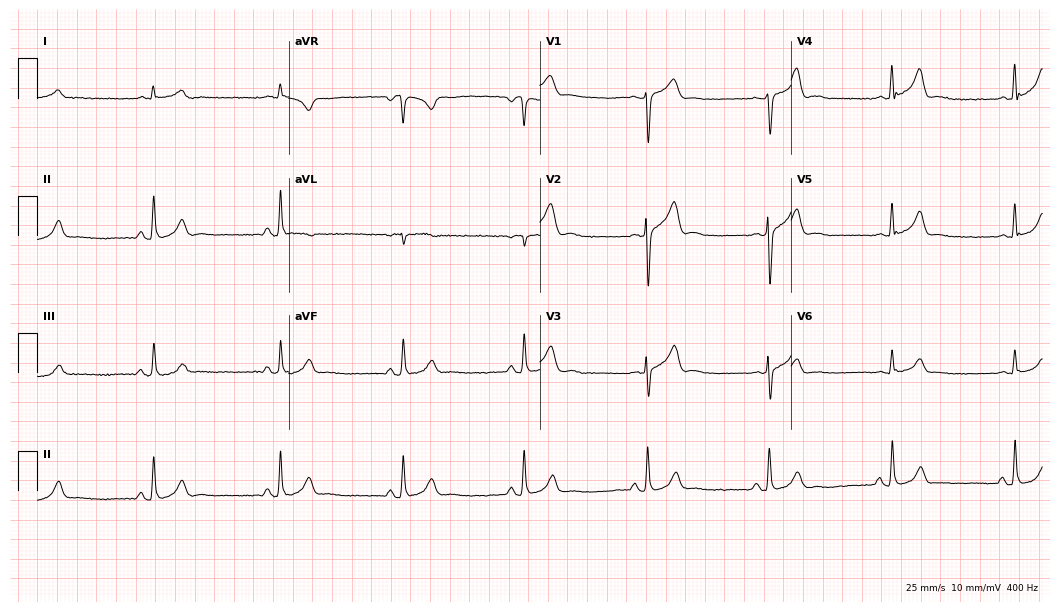
Standard 12-lead ECG recorded from a 59-year-old man (10.2-second recording at 400 Hz). The tracing shows sinus bradycardia (a sinus rate of 50 beats per minute or less).